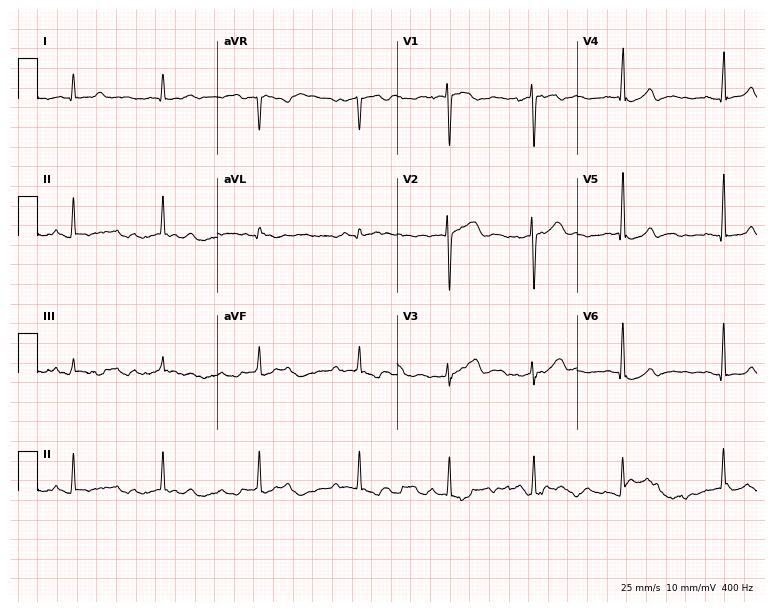
12-lead ECG from a 36-year-old female. Labelled as a normal ECG.